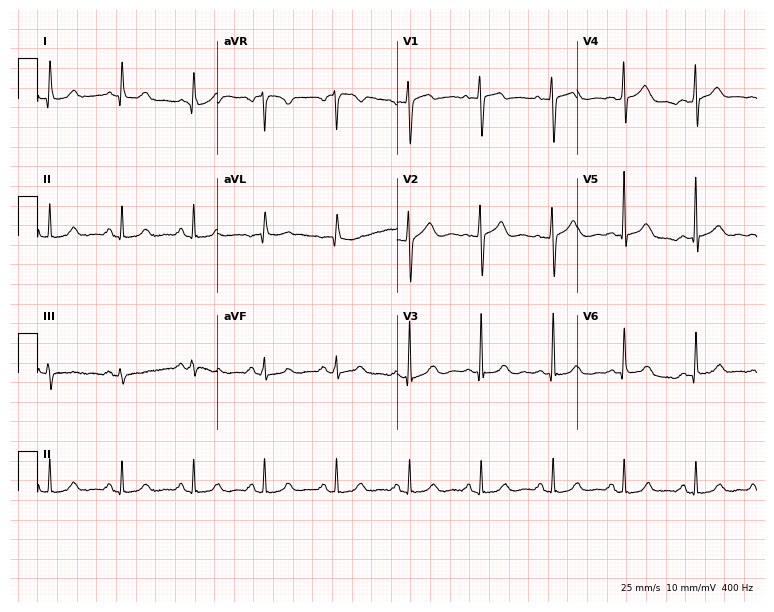
Standard 12-lead ECG recorded from a female patient, 50 years old (7.3-second recording at 400 Hz). Read as a normal ECG.